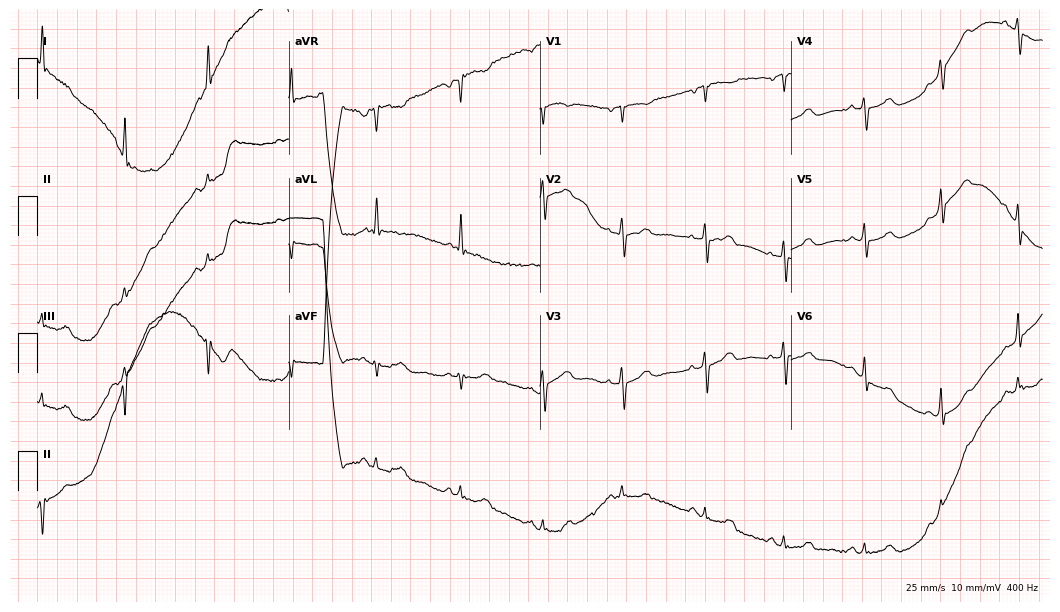
Standard 12-lead ECG recorded from a female patient, 73 years old. None of these six findings is recorded: first-degree AV block, right bundle branch block, left bundle branch block, sinus bradycardia, atrial fibrillation, sinus tachycardia.